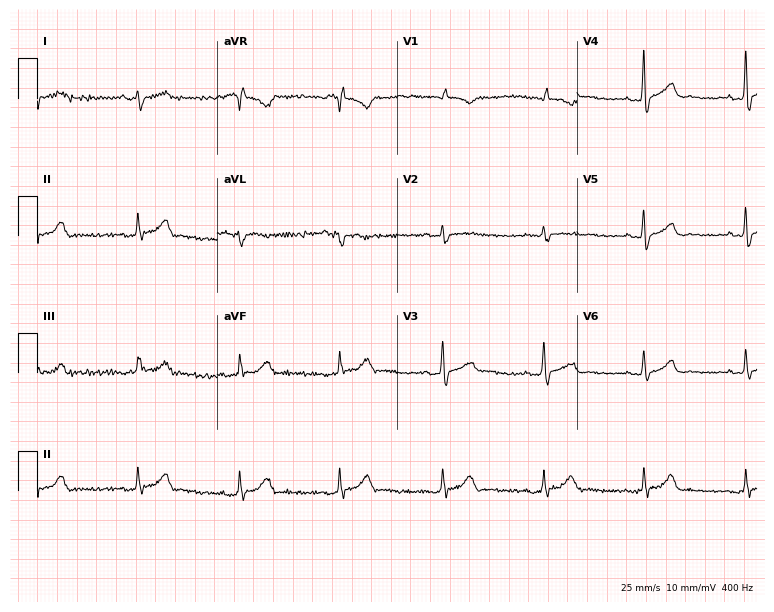
Resting 12-lead electrocardiogram (7.3-second recording at 400 Hz). Patient: a 65-year-old male. None of these six findings is recorded: first-degree AV block, right bundle branch block, left bundle branch block, sinus bradycardia, atrial fibrillation, sinus tachycardia.